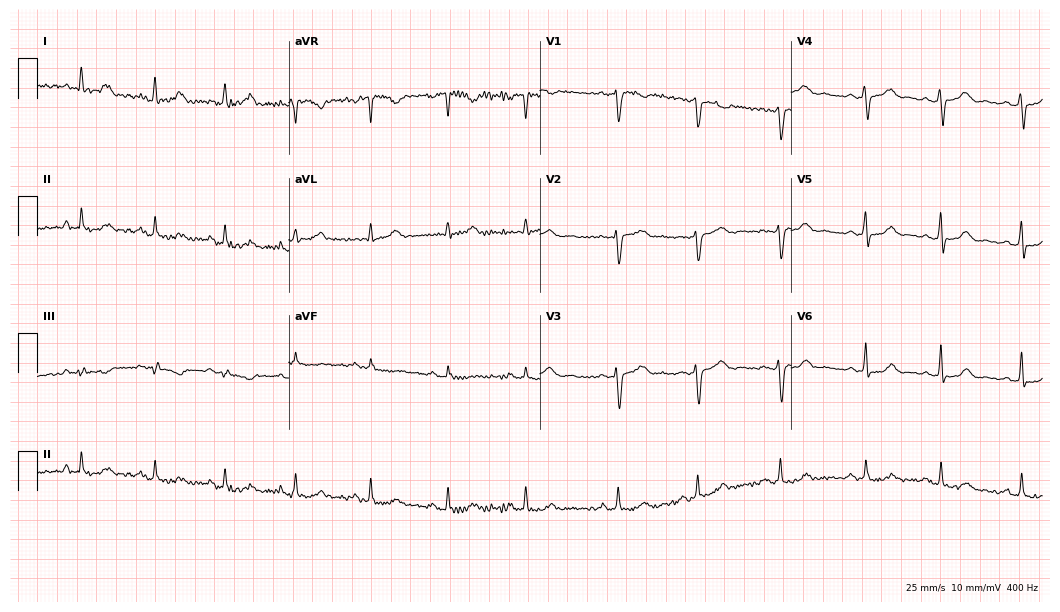
Resting 12-lead electrocardiogram. Patient: a woman, 35 years old. Read as a normal ECG.